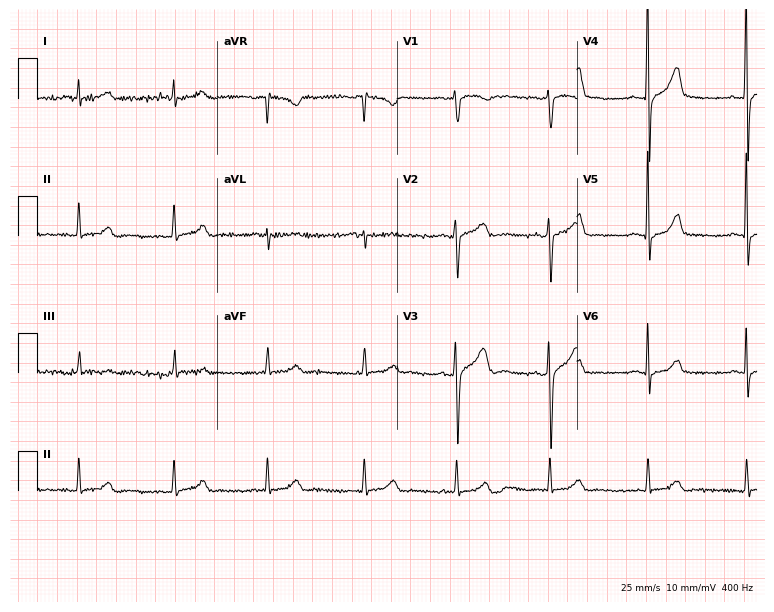
12-lead ECG from a 43-year-old male patient. Screened for six findings — first-degree AV block, right bundle branch block, left bundle branch block, sinus bradycardia, atrial fibrillation, sinus tachycardia — none is recorded. Findings outside these six are not listed.